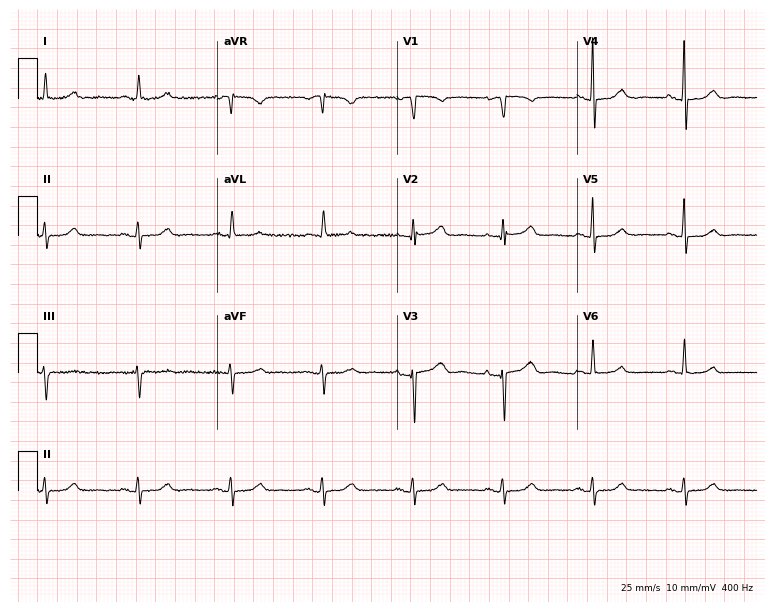
12-lead ECG from an 81-year-old female. Screened for six findings — first-degree AV block, right bundle branch block, left bundle branch block, sinus bradycardia, atrial fibrillation, sinus tachycardia — none is recorded. Only these six findings were labelled.